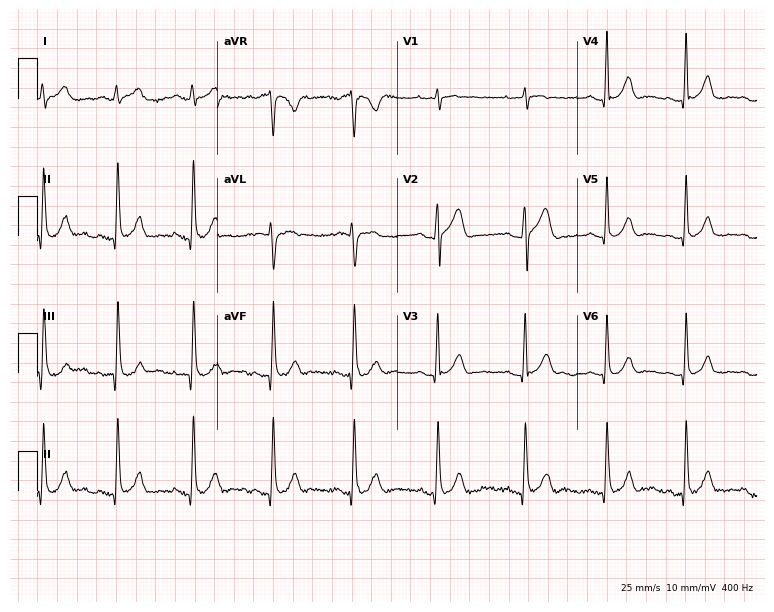
Standard 12-lead ECG recorded from a male patient, 28 years old. Read as a normal ECG.